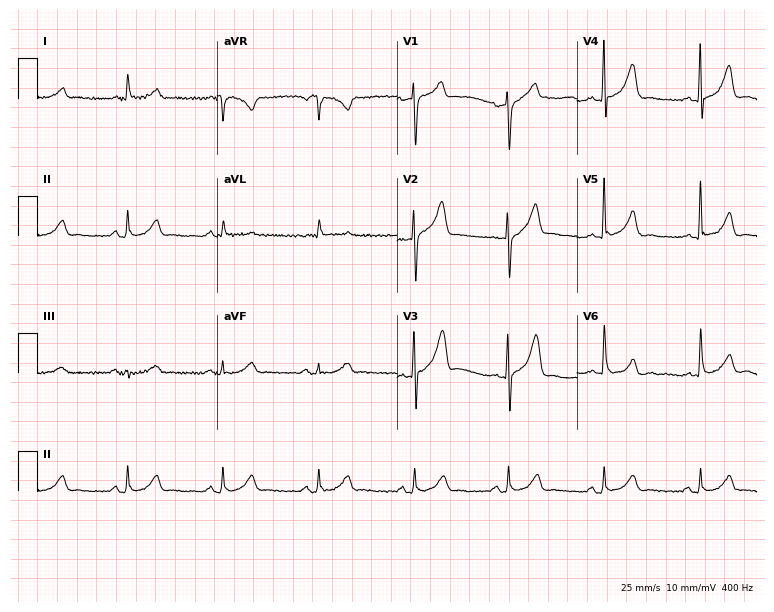
ECG — a male, 75 years old. Screened for six findings — first-degree AV block, right bundle branch block, left bundle branch block, sinus bradycardia, atrial fibrillation, sinus tachycardia — none is recorded.